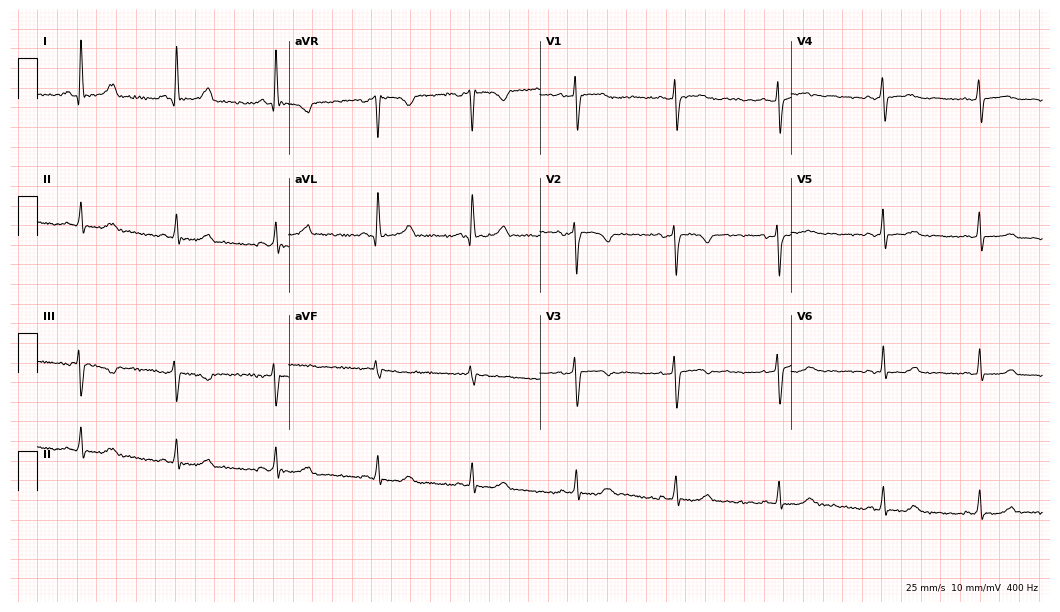
12-lead ECG (10.2-second recording at 400 Hz) from a female, 33 years old. Screened for six findings — first-degree AV block, right bundle branch block, left bundle branch block, sinus bradycardia, atrial fibrillation, sinus tachycardia — none is recorded. Findings outside these six are not listed.